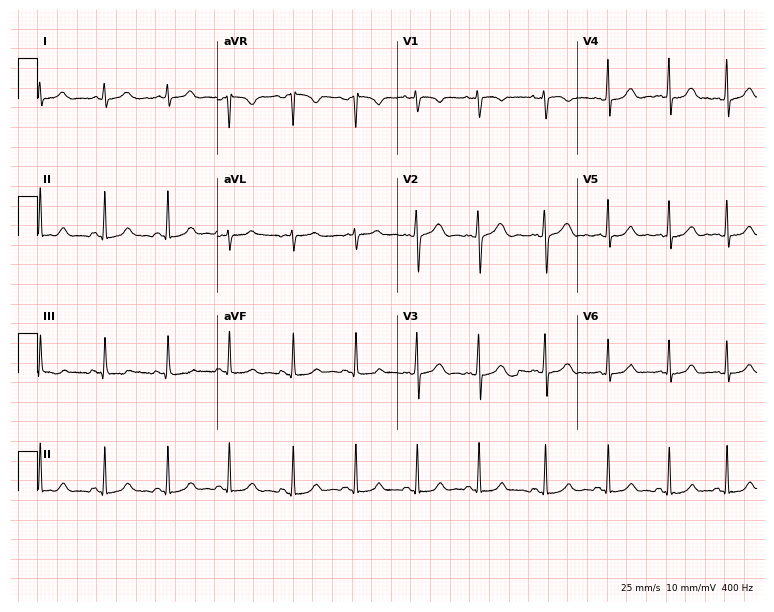
Electrocardiogram (7.3-second recording at 400 Hz), a female patient, 18 years old. Overall reading on record: normal ECG.